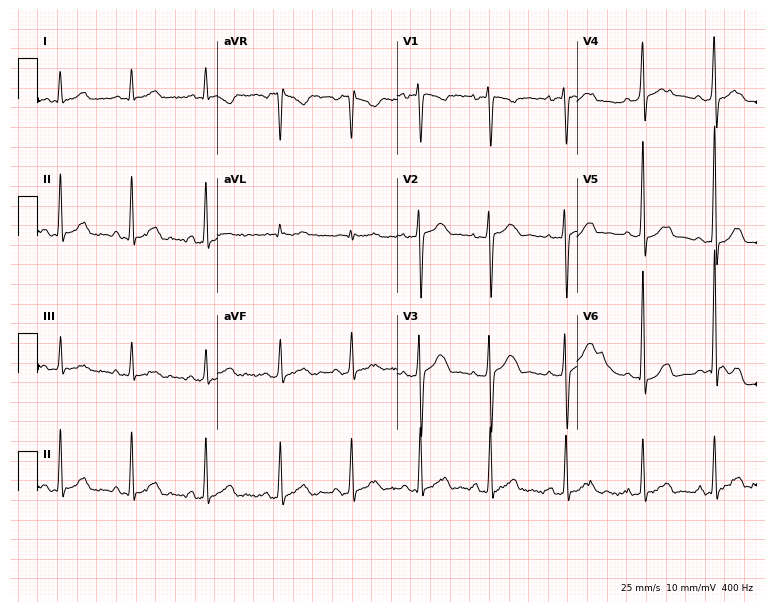
ECG — a 40-year-old man. Screened for six findings — first-degree AV block, right bundle branch block, left bundle branch block, sinus bradycardia, atrial fibrillation, sinus tachycardia — none is recorded.